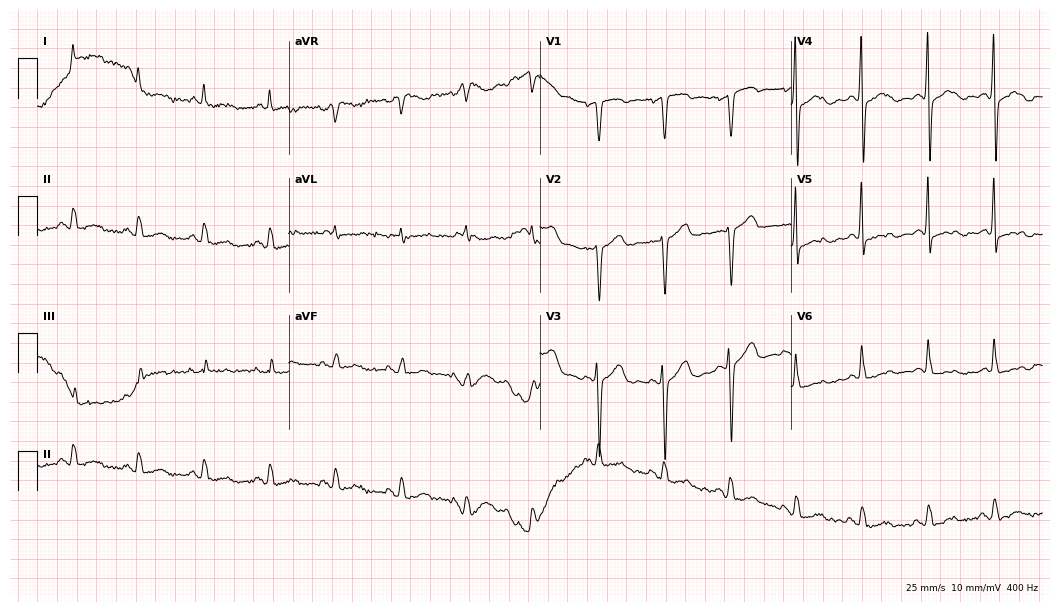
Electrocardiogram (10.2-second recording at 400 Hz), a 66-year-old man. Of the six screened findings (first-degree AV block, right bundle branch block, left bundle branch block, sinus bradycardia, atrial fibrillation, sinus tachycardia), none is recorded.